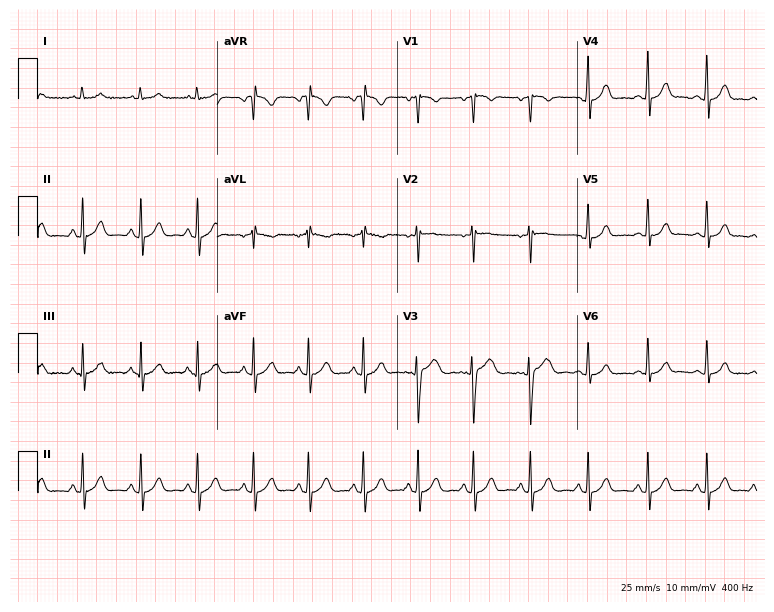
Electrocardiogram, a 19-year-old woman. Overall reading on record: normal ECG.